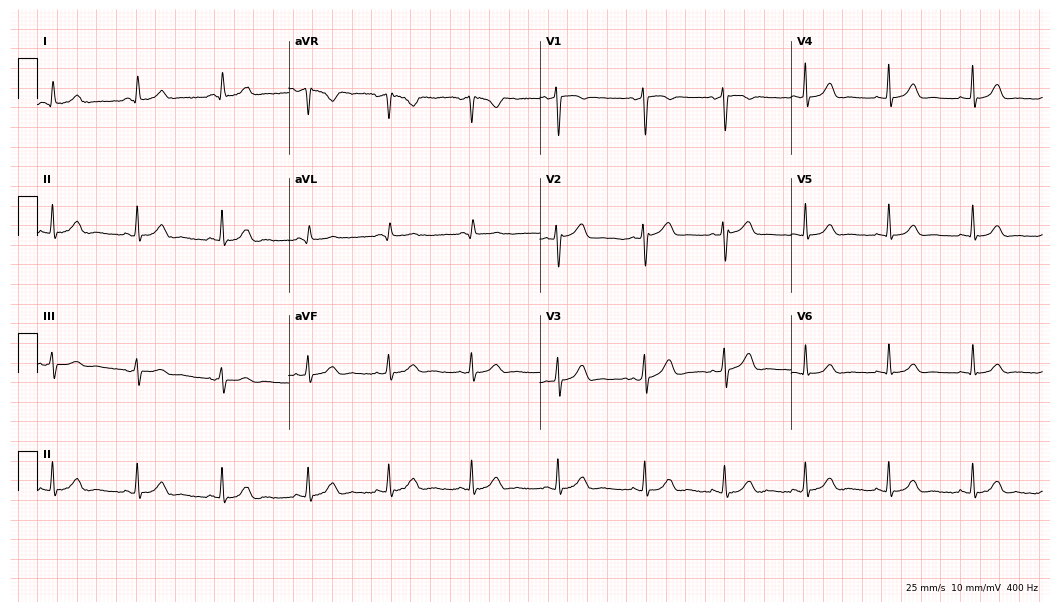
ECG (10.2-second recording at 400 Hz) — a 38-year-old female. Labelled as a normal ECG.